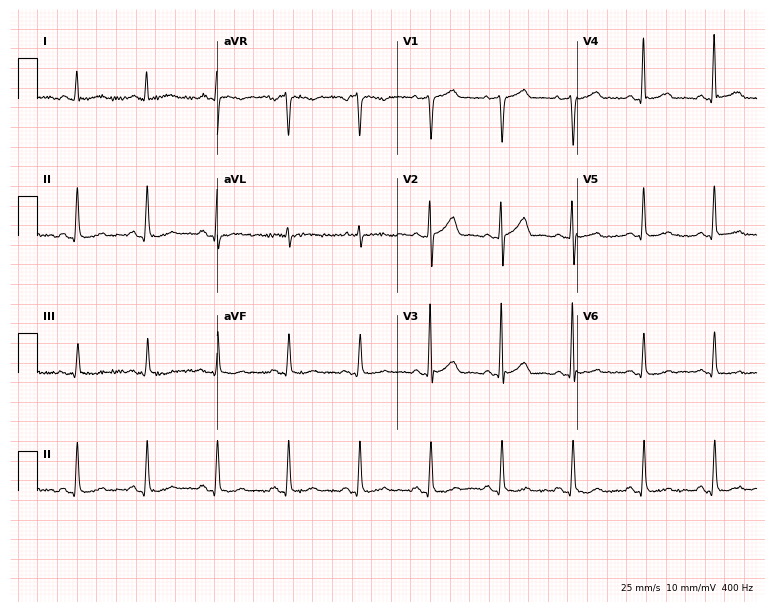
12-lead ECG from a 68-year-old male patient. Screened for six findings — first-degree AV block, right bundle branch block, left bundle branch block, sinus bradycardia, atrial fibrillation, sinus tachycardia — none is recorded.